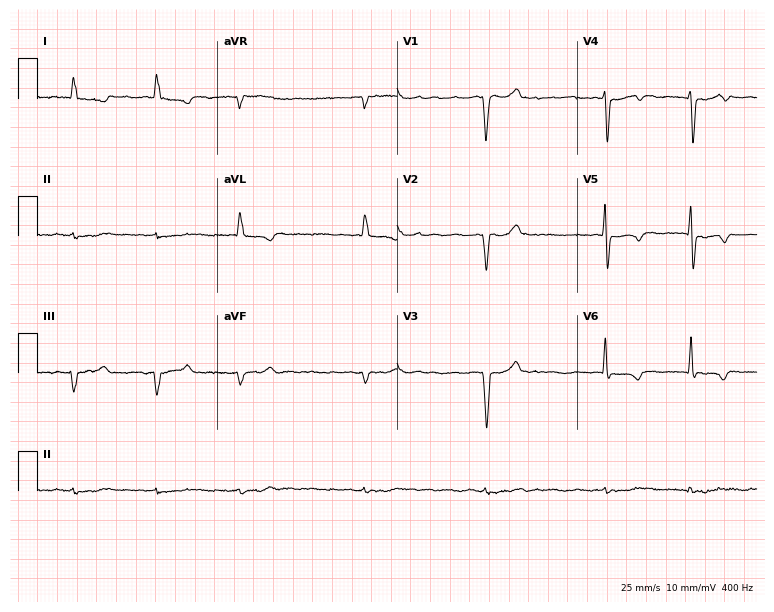
Standard 12-lead ECG recorded from a man, 61 years old. The tracing shows atrial fibrillation.